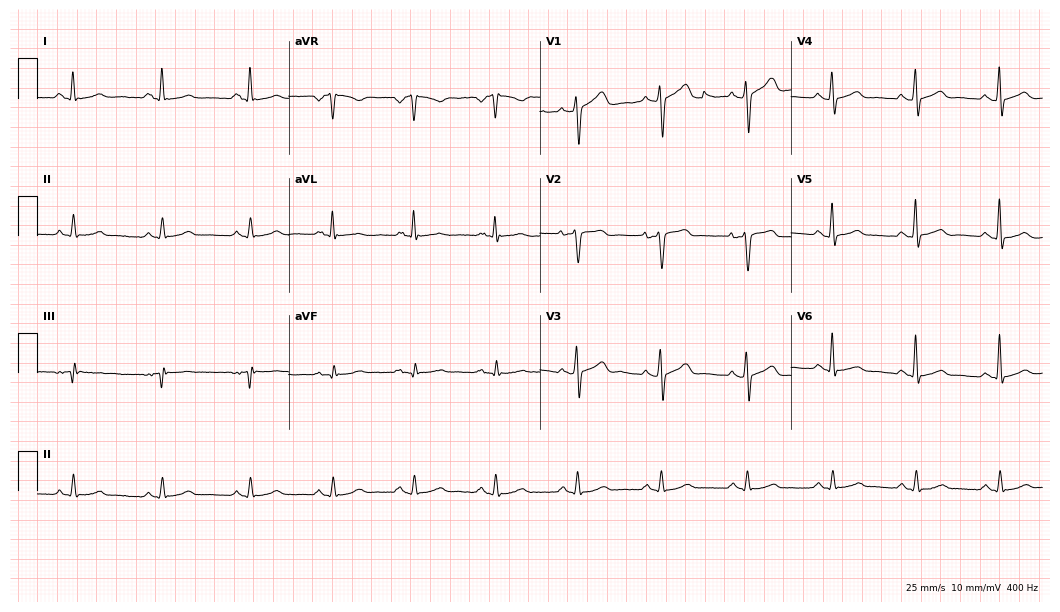
ECG (10.2-second recording at 400 Hz) — a man, 56 years old. Labelled as a normal ECG.